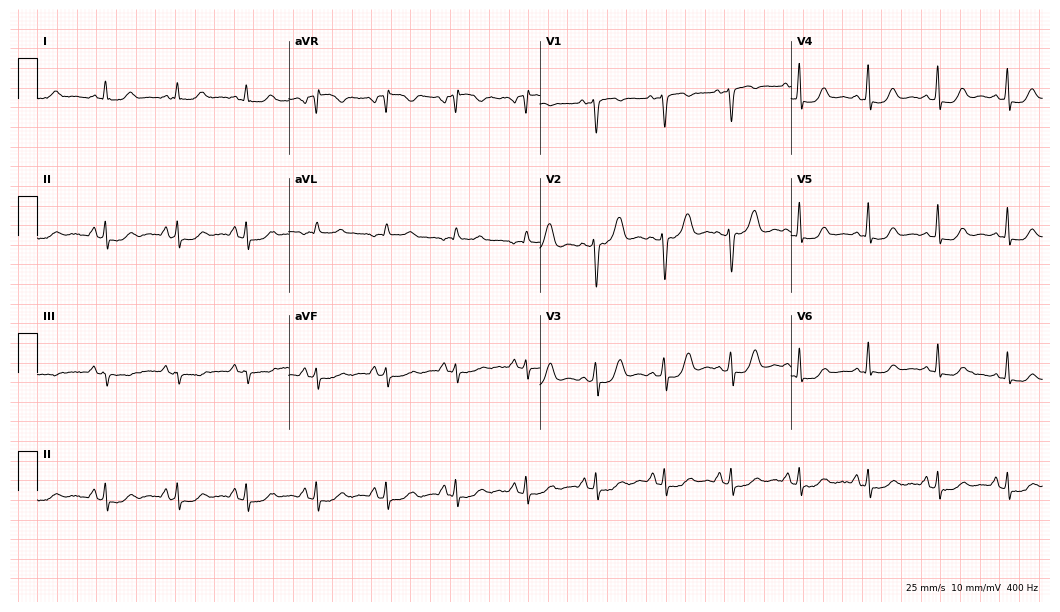
Resting 12-lead electrocardiogram (10.2-second recording at 400 Hz). Patient: a female, 49 years old. None of these six findings is recorded: first-degree AV block, right bundle branch block, left bundle branch block, sinus bradycardia, atrial fibrillation, sinus tachycardia.